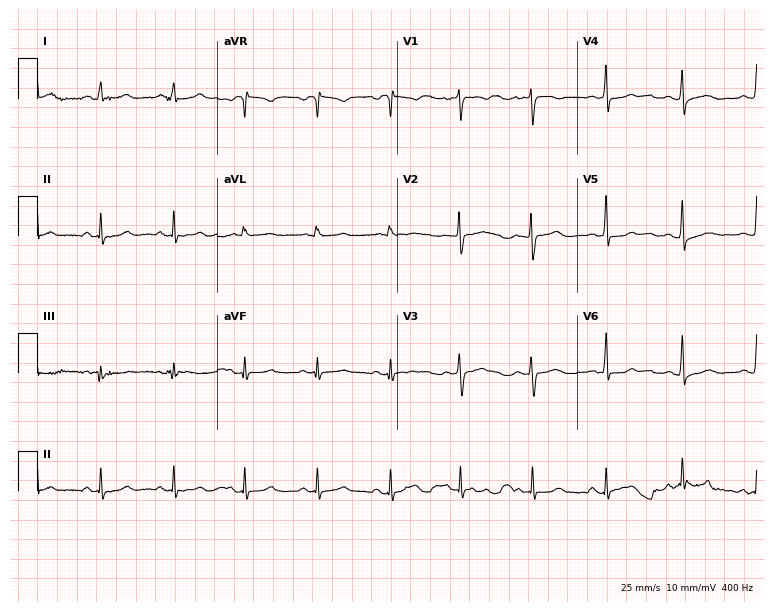
Standard 12-lead ECG recorded from a 33-year-old female patient. Read as a normal ECG.